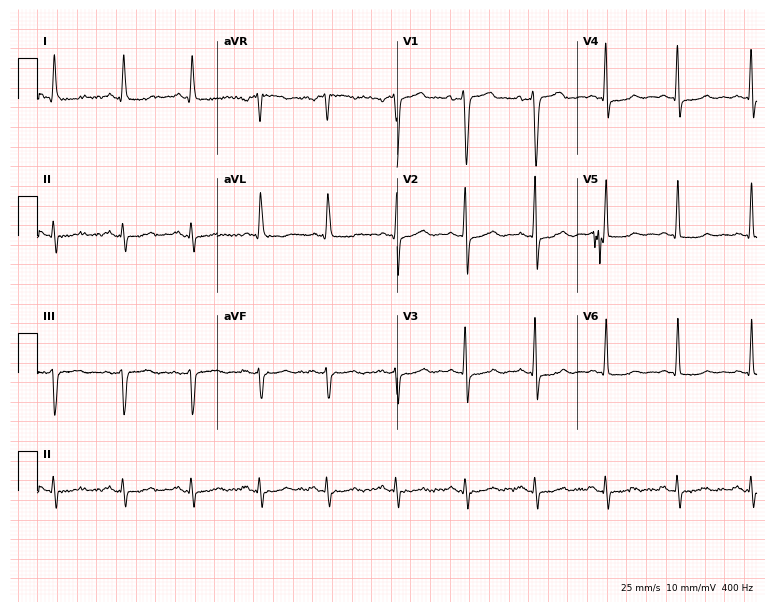
Standard 12-lead ECG recorded from a male, 66 years old. None of these six findings is recorded: first-degree AV block, right bundle branch block, left bundle branch block, sinus bradycardia, atrial fibrillation, sinus tachycardia.